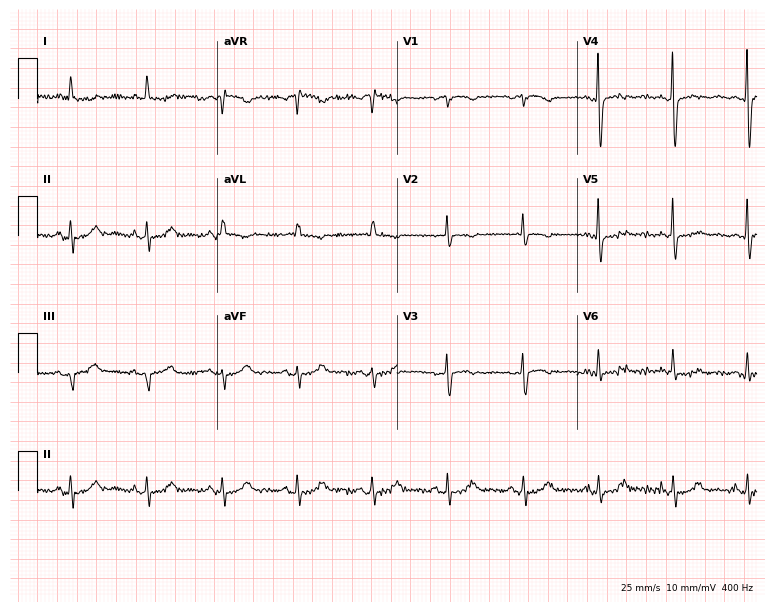
Resting 12-lead electrocardiogram (7.3-second recording at 400 Hz). Patient: a woman, 77 years old. None of these six findings is recorded: first-degree AV block, right bundle branch block, left bundle branch block, sinus bradycardia, atrial fibrillation, sinus tachycardia. Findings outside these six are not listed.